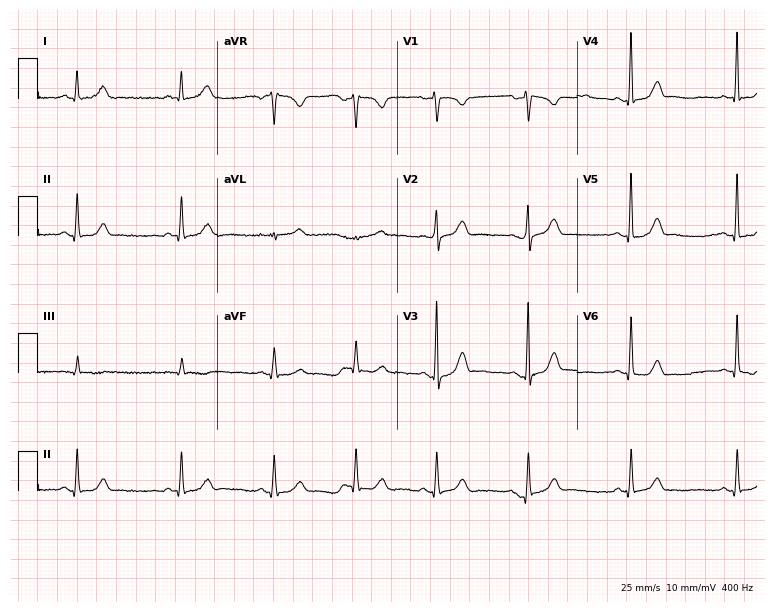
ECG — a 32-year-old woman. Labelled as a normal ECG.